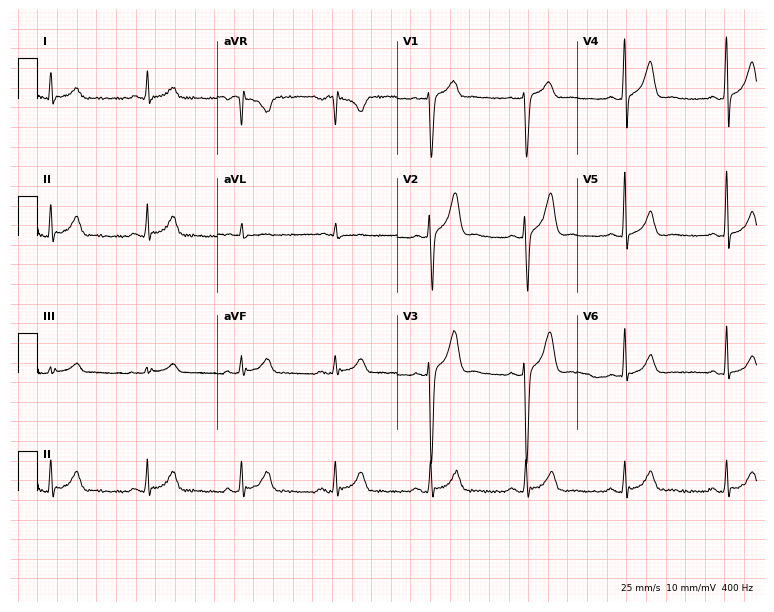
12-lead ECG from a 42-year-old male patient. Labelled as a normal ECG.